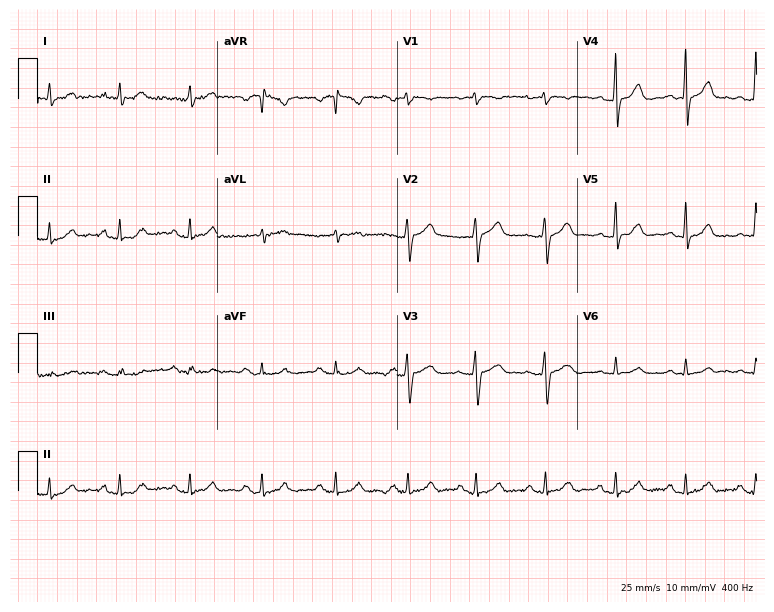
Electrocardiogram (7.3-second recording at 400 Hz), a female, 40 years old. Overall reading on record: normal ECG.